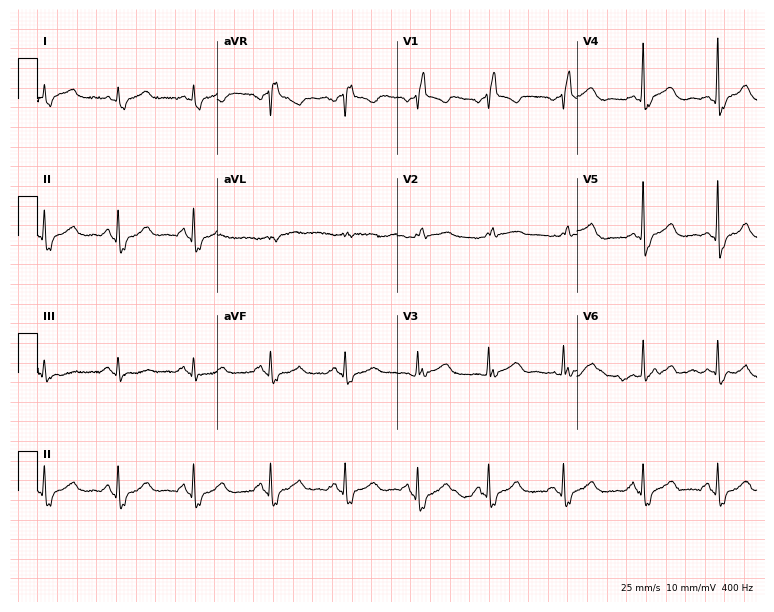
Standard 12-lead ECG recorded from a female, 83 years old. The tracing shows right bundle branch block.